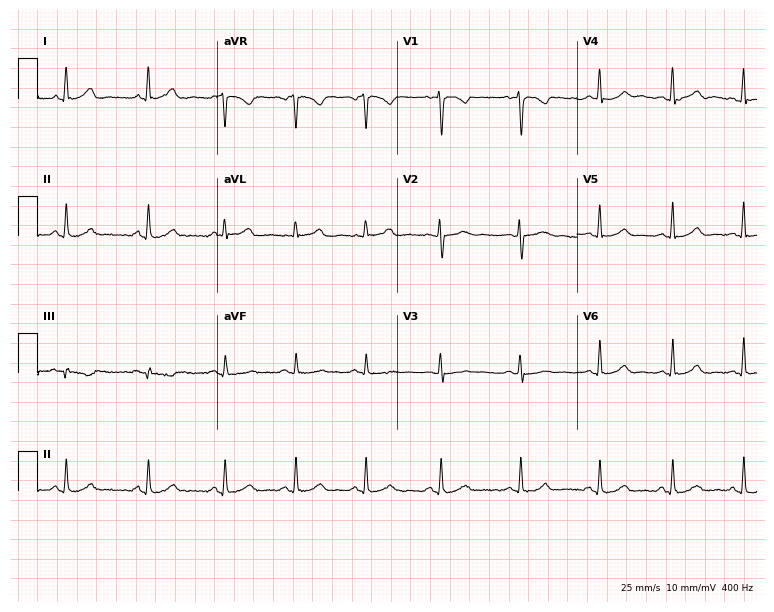
Standard 12-lead ECG recorded from a woman, 23 years old (7.3-second recording at 400 Hz). Read as a normal ECG.